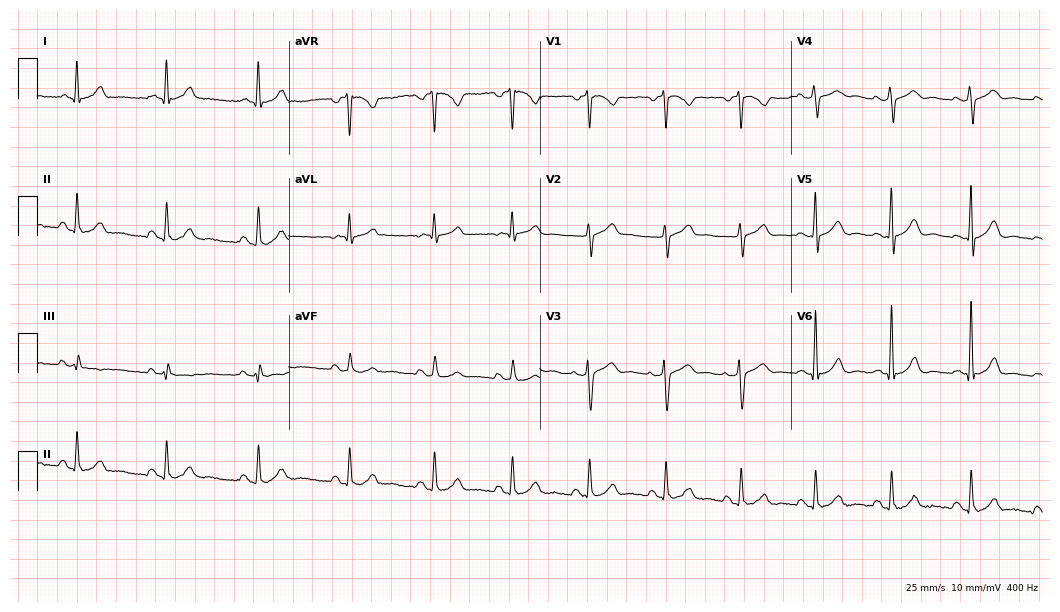
Electrocardiogram (10.2-second recording at 400 Hz), a male patient, 41 years old. Of the six screened findings (first-degree AV block, right bundle branch block, left bundle branch block, sinus bradycardia, atrial fibrillation, sinus tachycardia), none is recorded. Findings outside these six are not listed.